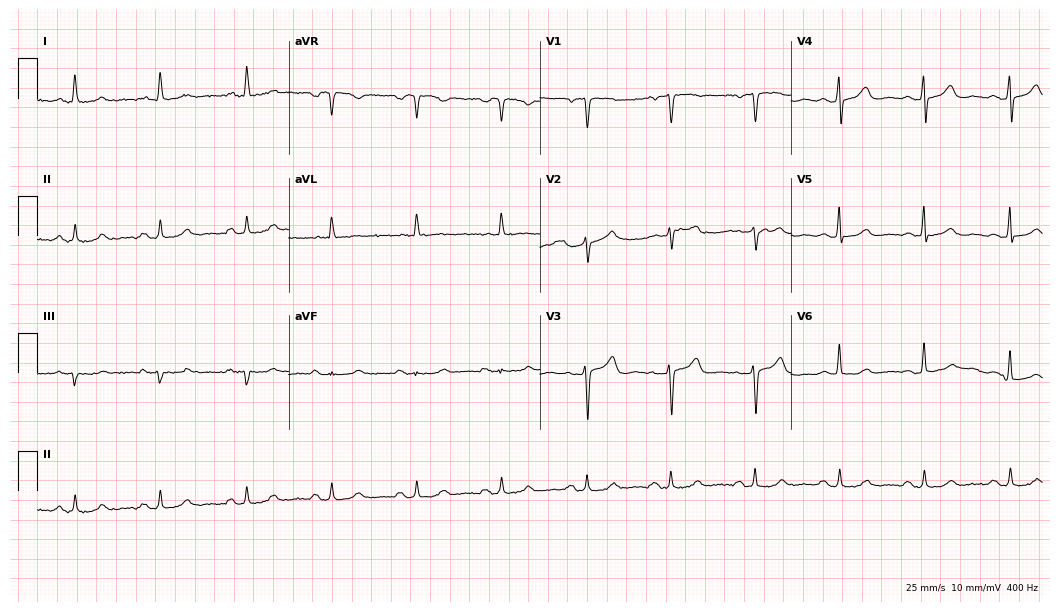
Resting 12-lead electrocardiogram (10.2-second recording at 400 Hz). Patient: a 67-year-old female. Read as a normal ECG.